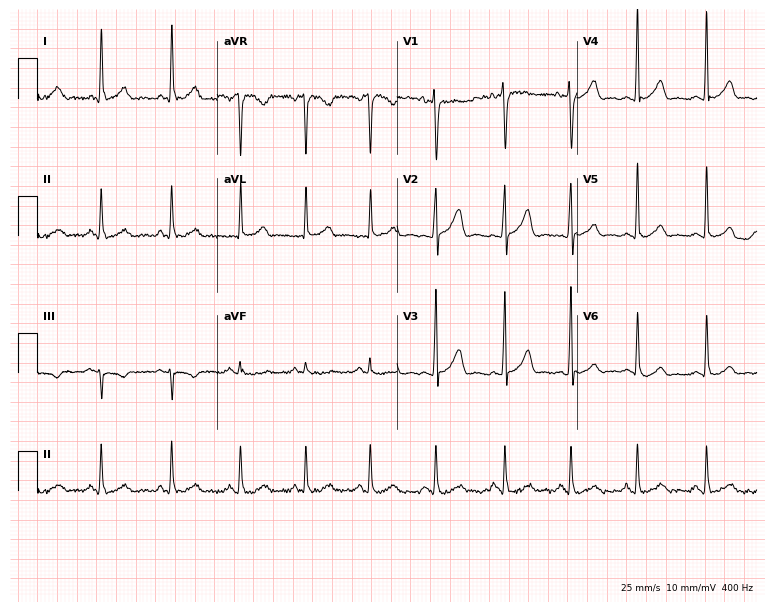
Electrocardiogram, a female, 33 years old. Overall reading on record: normal ECG.